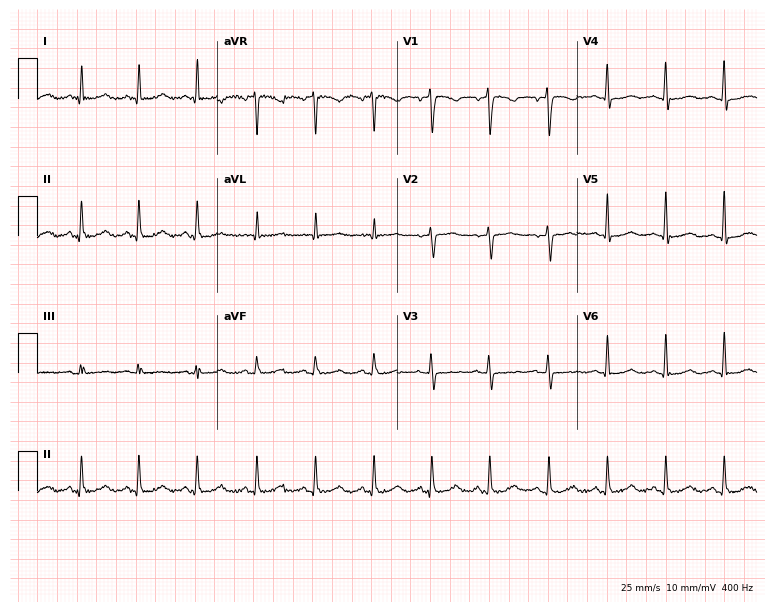
Standard 12-lead ECG recorded from a 44-year-old female patient. The tracing shows sinus tachycardia (a sinus rate of 100 beats per minute or more).